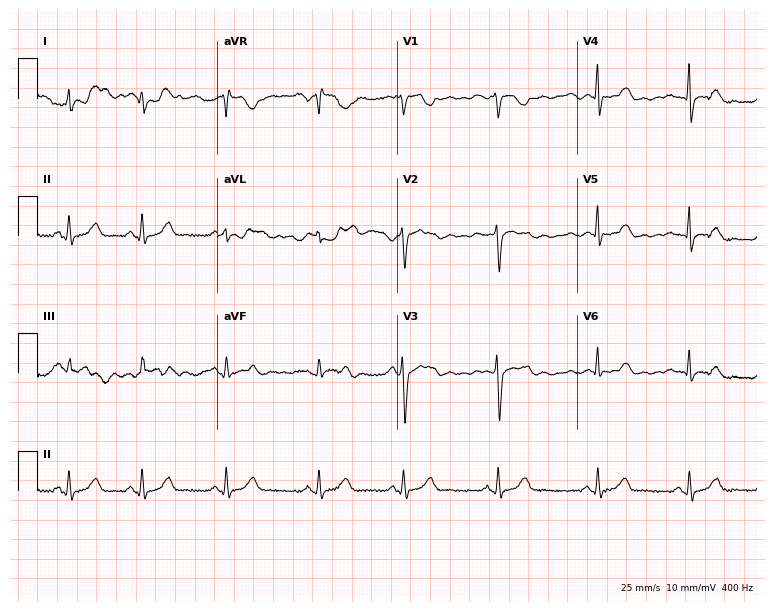
Electrocardiogram, a female, 24 years old. Of the six screened findings (first-degree AV block, right bundle branch block, left bundle branch block, sinus bradycardia, atrial fibrillation, sinus tachycardia), none is recorded.